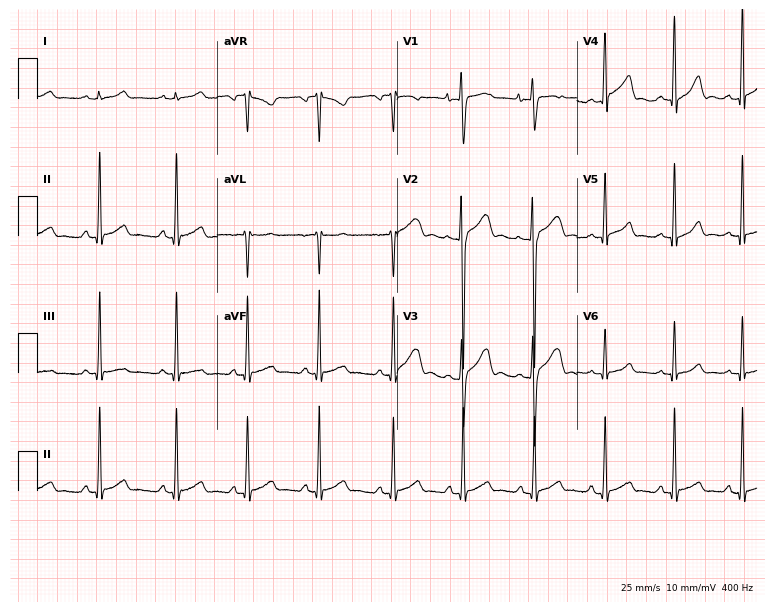
12-lead ECG from a male, 17 years old. Screened for six findings — first-degree AV block, right bundle branch block (RBBB), left bundle branch block (LBBB), sinus bradycardia, atrial fibrillation (AF), sinus tachycardia — none is recorded. Only these six findings were labelled.